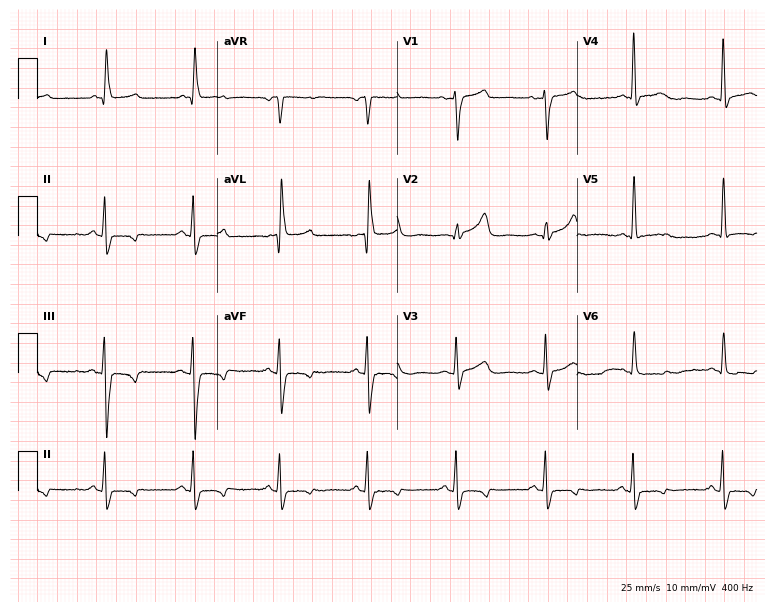
ECG — a female patient, 54 years old. Screened for six findings — first-degree AV block, right bundle branch block (RBBB), left bundle branch block (LBBB), sinus bradycardia, atrial fibrillation (AF), sinus tachycardia — none is recorded. Other findings, if any, are not listed.